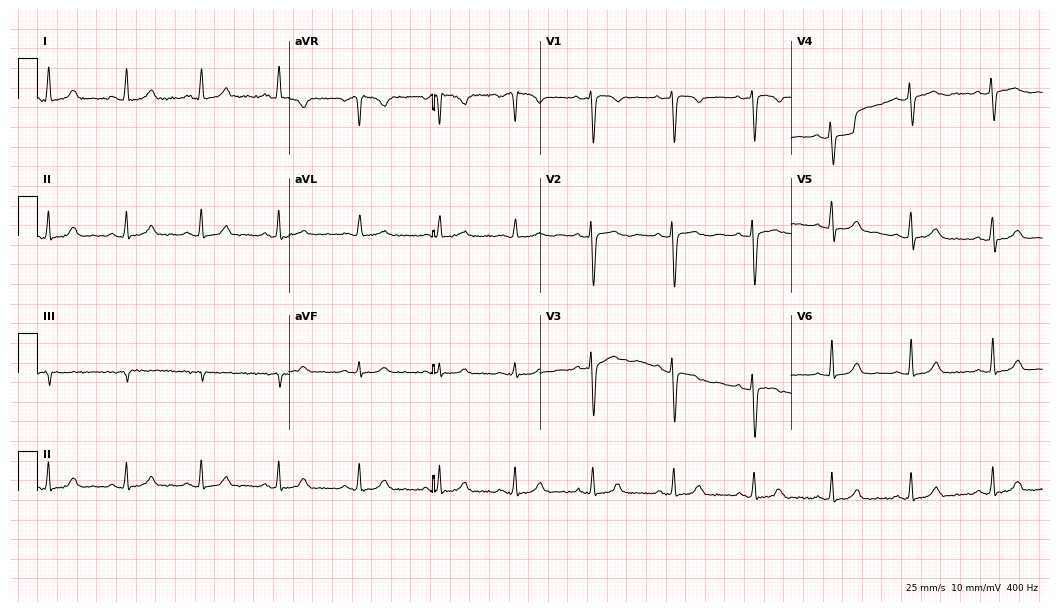
Standard 12-lead ECG recorded from a woman, 24 years old. Read as a normal ECG.